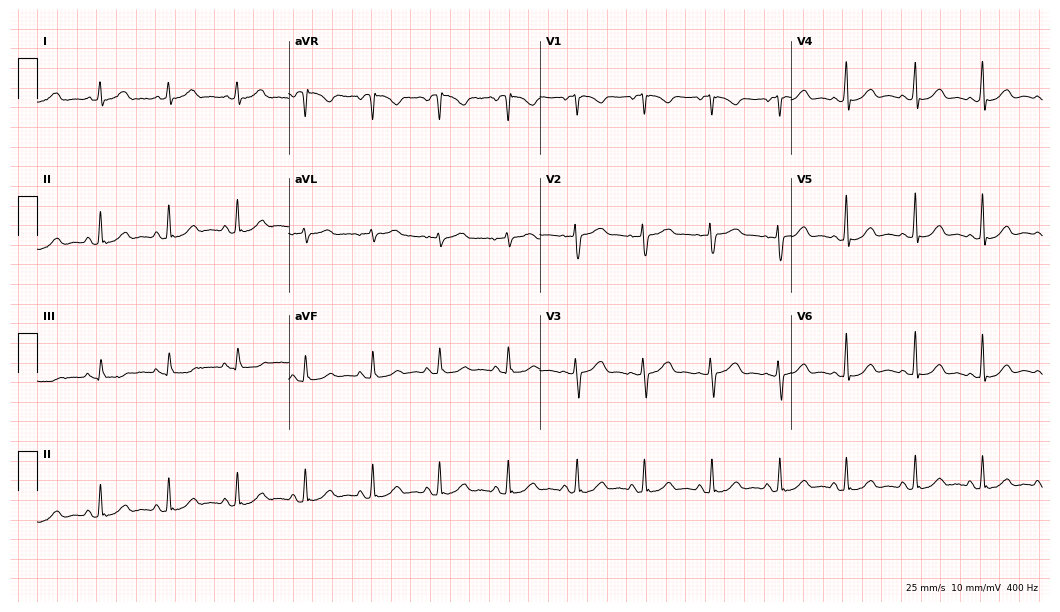
Resting 12-lead electrocardiogram (10.2-second recording at 400 Hz). Patient: a 45-year-old female. Read as a normal ECG.